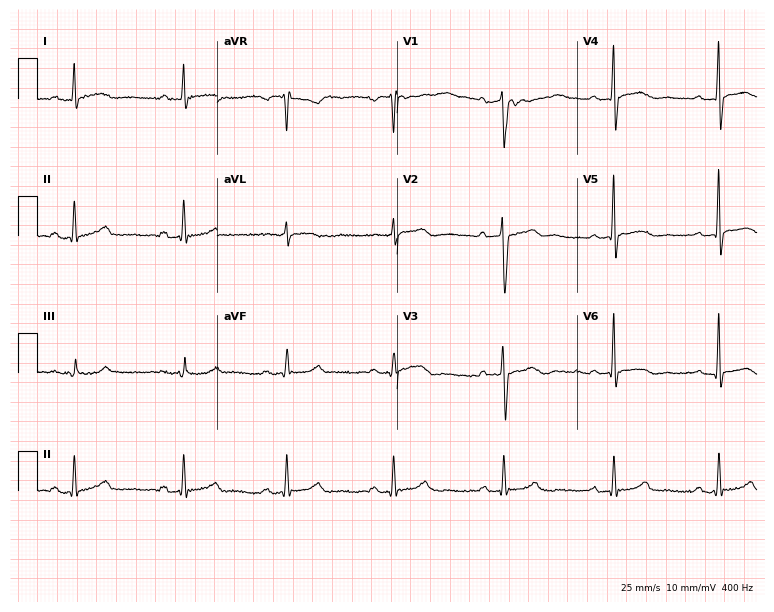
12-lead ECG (7.3-second recording at 400 Hz) from a male, 45 years old. Labelled as a normal ECG.